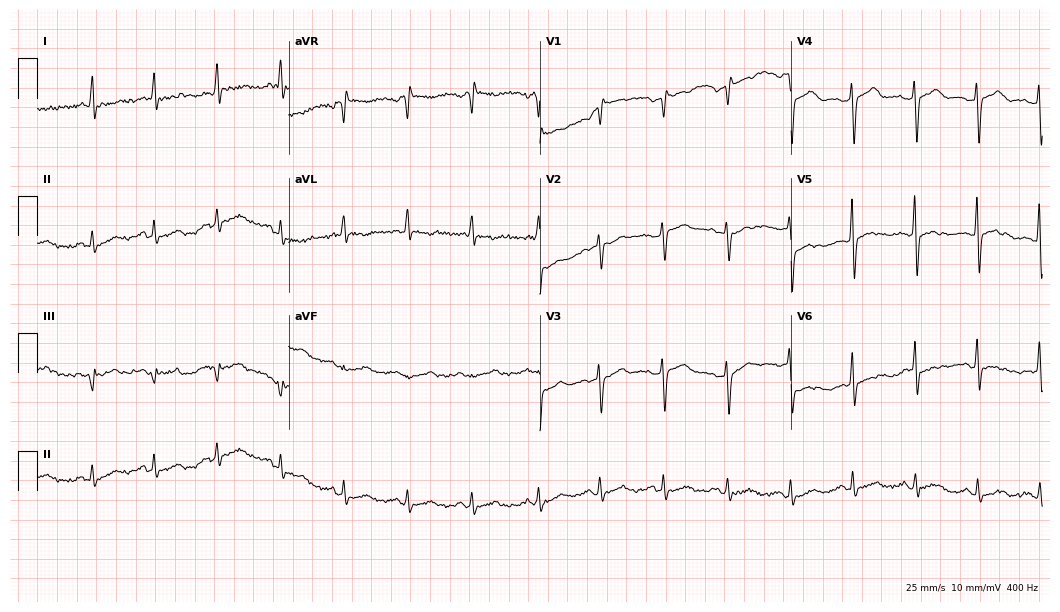
Electrocardiogram, a female, 47 years old. Of the six screened findings (first-degree AV block, right bundle branch block (RBBB), left bundle branch block (LBBB), sinus bradycardia, atrial fibrillation (AF), sinus tachycardia), none is recorded. Findings outside these six are not listed.